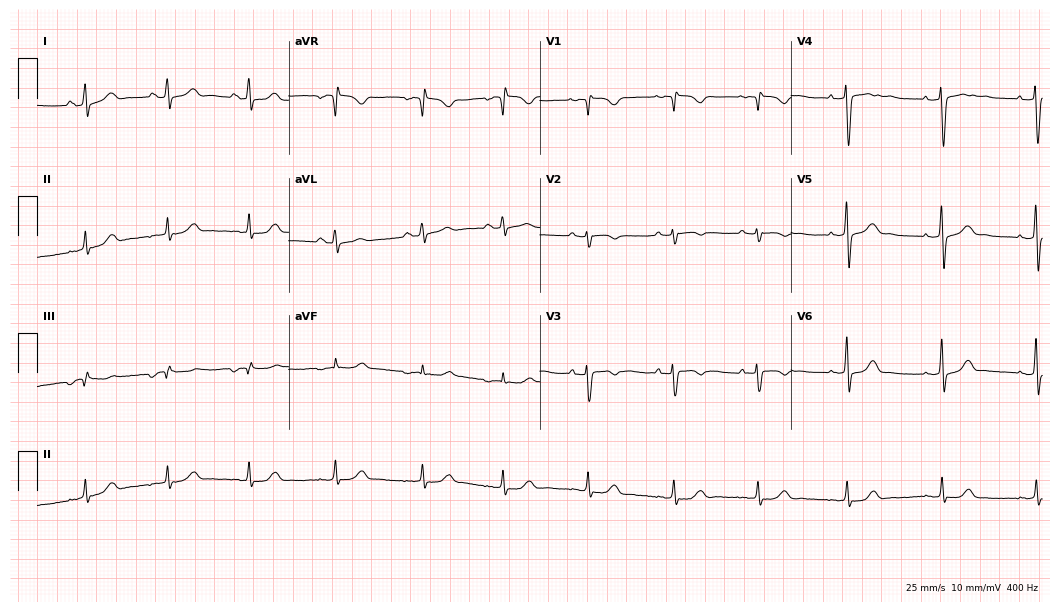
Standard 12-lead ECG recorded from a 28-year-old female (10.2-second recording at 400 Hz). None of these six findings is recorded: first-degree AV block, right bundle branch block, left bundle branch block, sinus bradycardia, atrial fibrillation, sinus tachycardia. Findings outside these six are not listed.